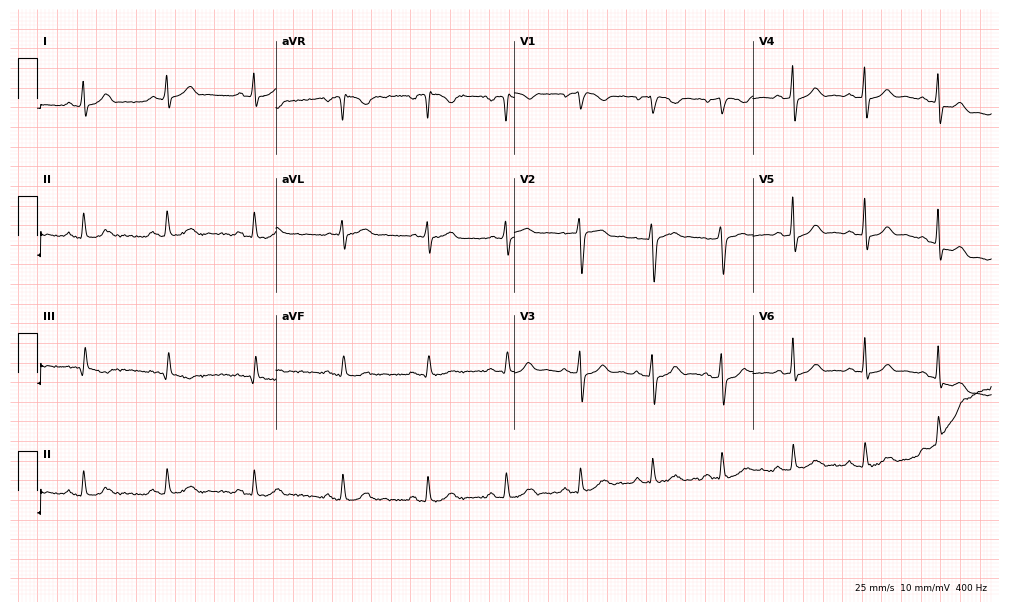
Standard 12-lead ECG recorded from a man, 34 years old. Read as a normal ECG.